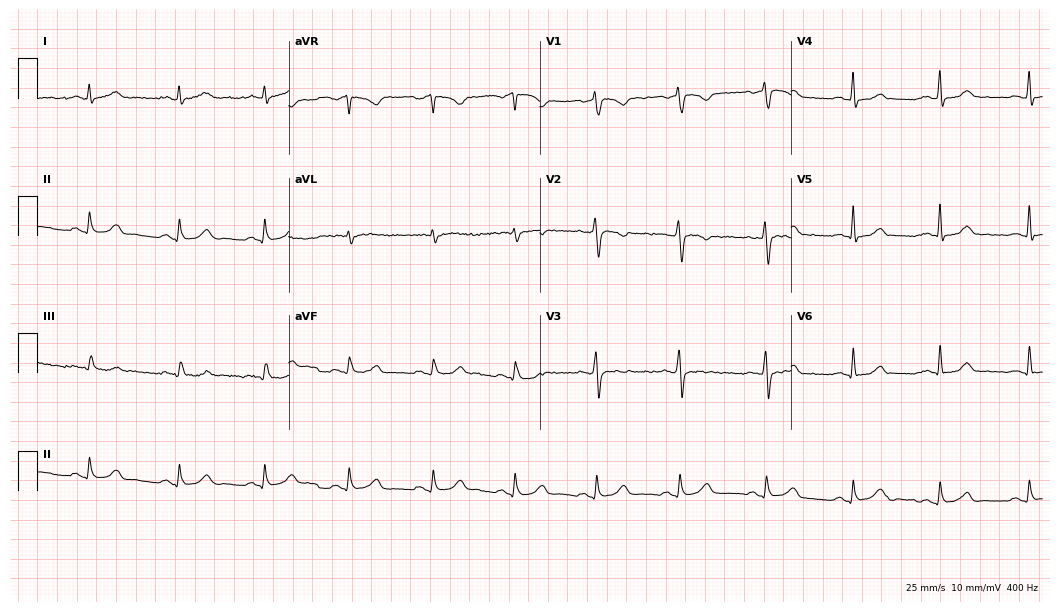
Electrocardiogram (10.2-second recording at 400 Hz), a 35-year-old woman. Of the six screened findings (first-degree AV block, right bundle branch block, left bundle branch block, sinus bradycardia, atrial fibrillation, sinus tachycardia), none is recorded.